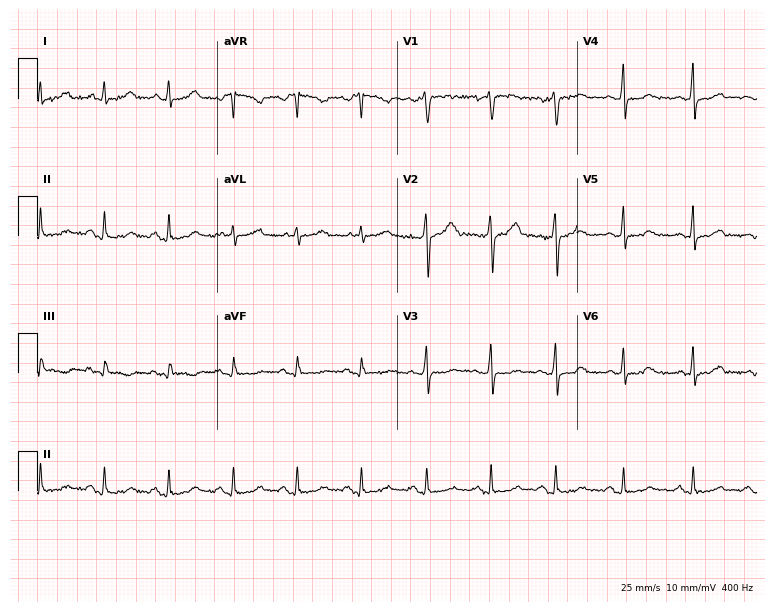
12-lead ECG (7.3-second recording at 400 Hz) from a 47-year-old woman. Labelled as a normal ECG.